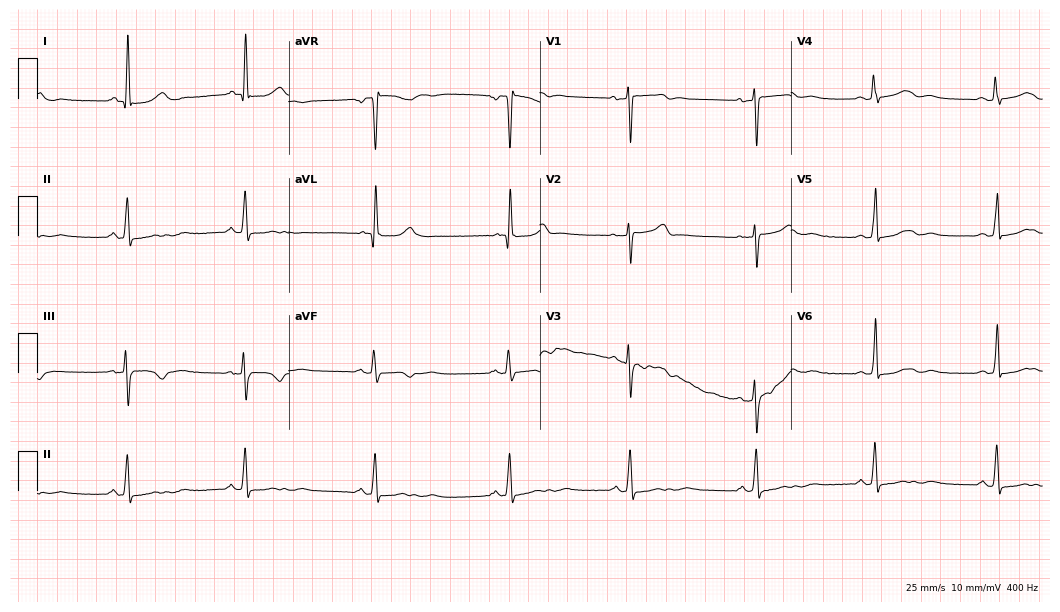
Resting 12-lead electrocardiogram (10.2-second recording at 400 Hz). Patient: a female, 44 years old. The tracing shows sinus bradycardia (a sinus rate of 50 beats per minute or less).